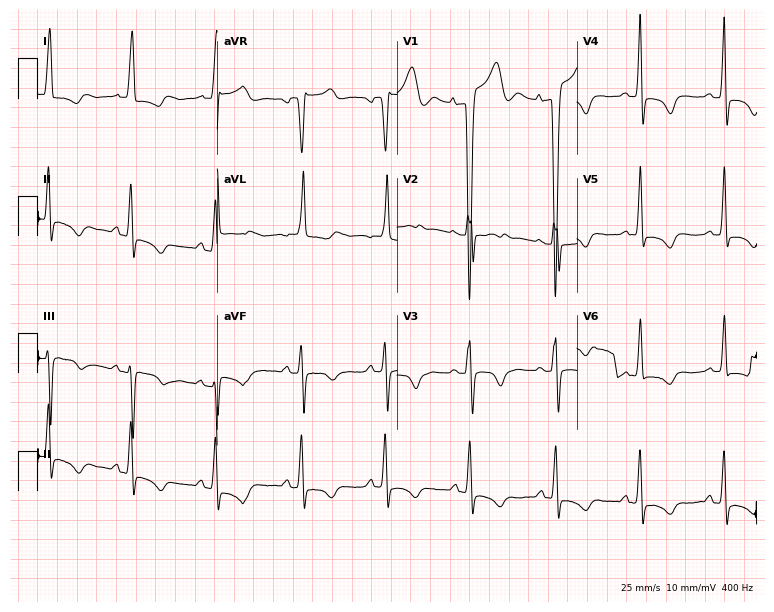
12-lead ECG from a 65-year-old woman. No first-degree AV block, right bundle branch block, left bundle branch block, sinus bradycardia, atrial fibrillation or sinus tachycardia recorded for this tracing. Findings outside these six are not listed.